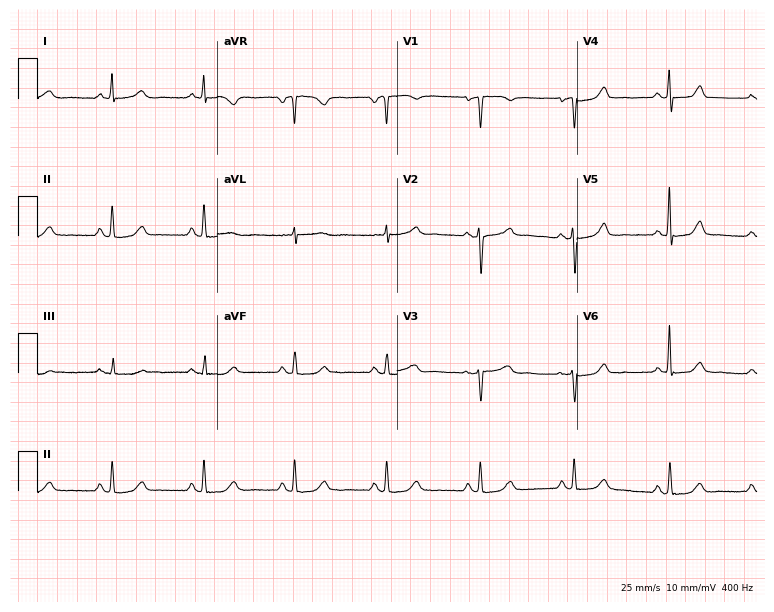
Resting 12-lead electrocardiogram. Patient: a female, 56 years old. Read as a normal ECG.